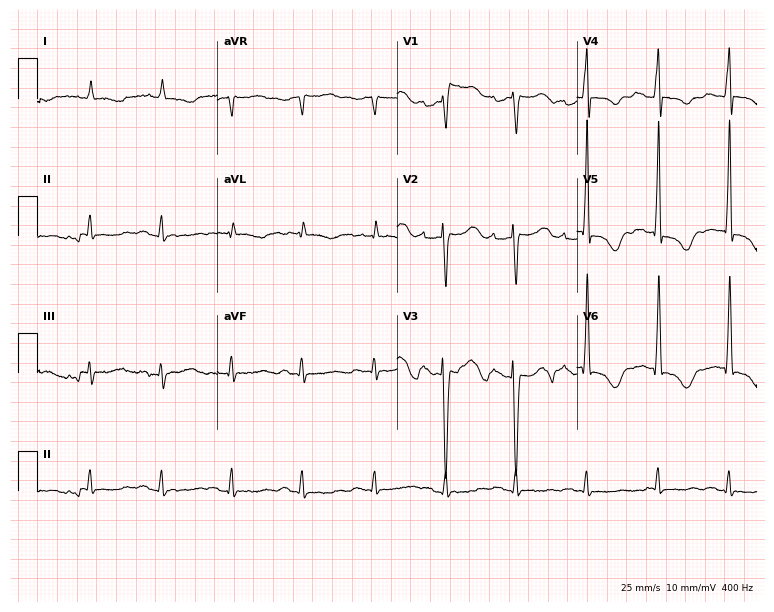
12-lead ECG from a man, 48 years old. No first-degree AV block, right bundle branch block (RBBB), left bundle branch block (LBBB), sinus bradycardia, atrial fibrillation (AF) or sinus tachycardia recorded for this tracing.